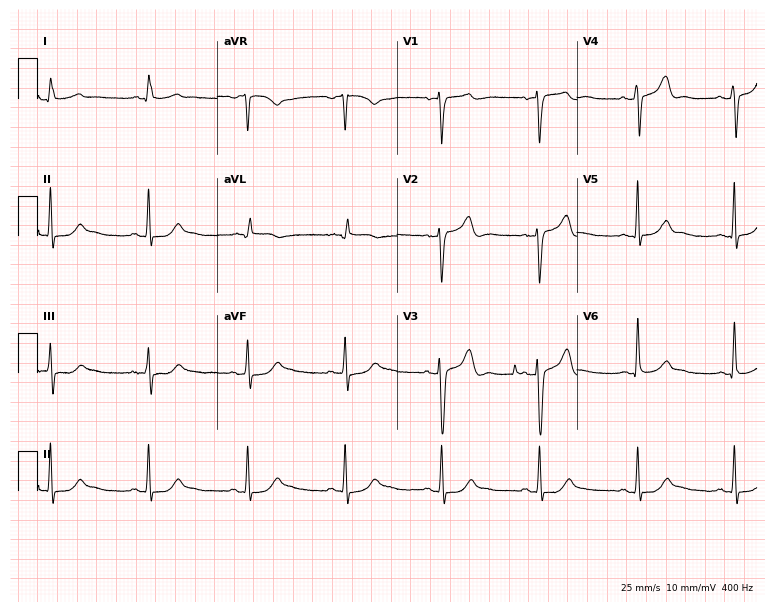
12-lead ECG from a 67-year-old male patient. Labelled as a normal ECG.